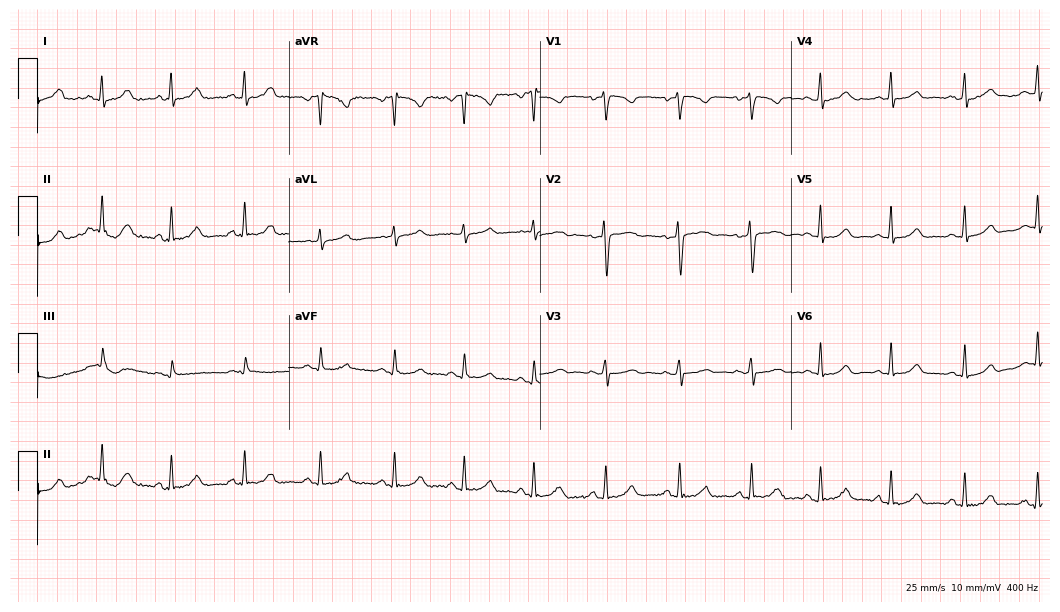
Standard 12-lead ECG recorded from a 39-year-old woman (10.2-second recording at 400 Hz). Read as a normal ECG.